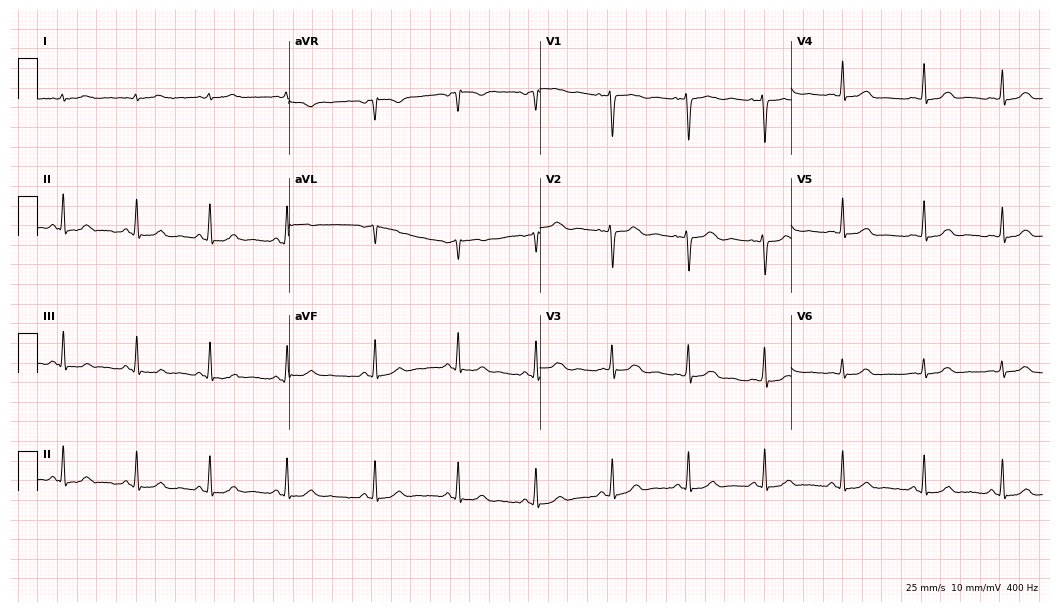
Electrocardiogram (10.2-second recording at 400 Hz), a female patient, 26 years old. Overall reading on record: normal ECG.